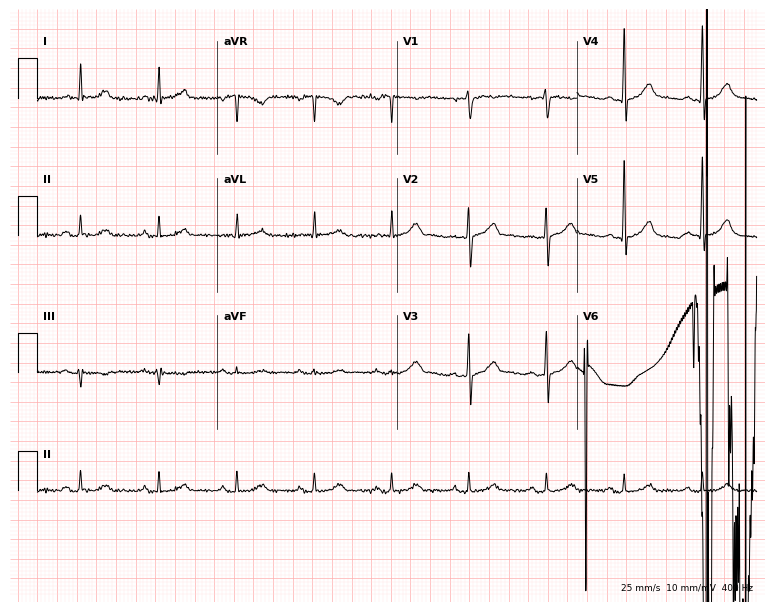
12-lead ECG from a 61-year-old male. Screened for six findings — first-degree AV block, right bundle branch block (RBBB), left bundle branch block (LBBB), sinus bradycardia, atrial fibrillation (AF), sinus tachycardia — none is recorded.